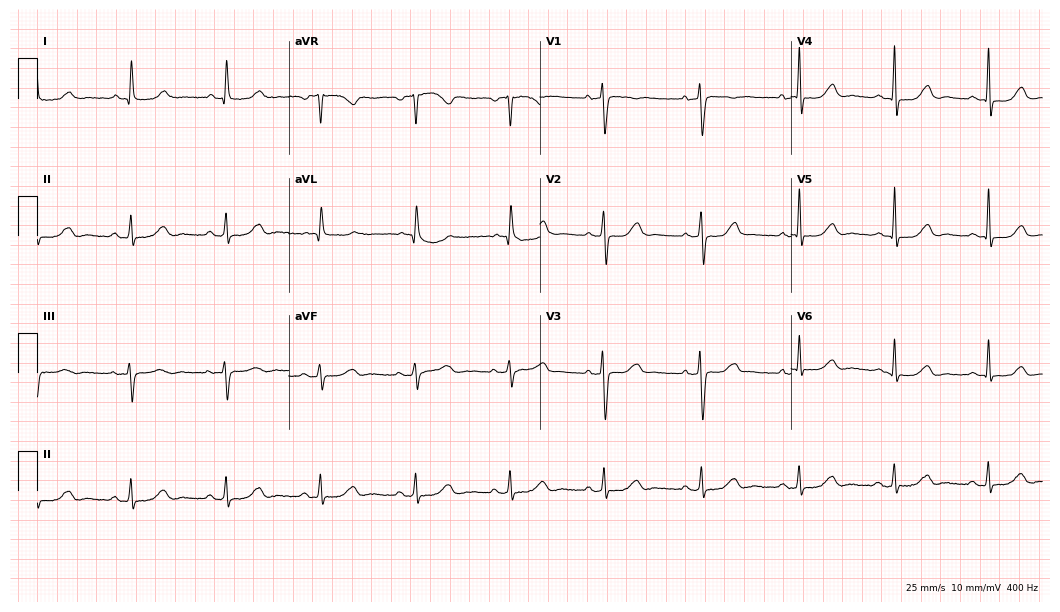
12-lead ECG from a 72-year-old woman. No first-degree AV block, right bundle branch block, left bundle branch block, sinus bradycardia, atrial fibrillation or sinus tachycardia recorded for this tracing. Only these six findings were labelled.